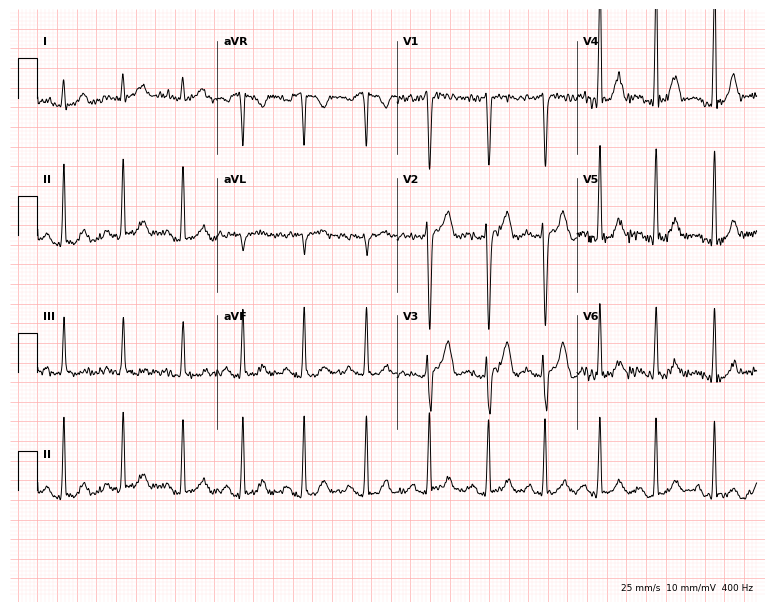
Standard 12-lead ECG recorded from a man, 25 years old (7.3-second recording at 400 Hz). Read as a normal ECG.